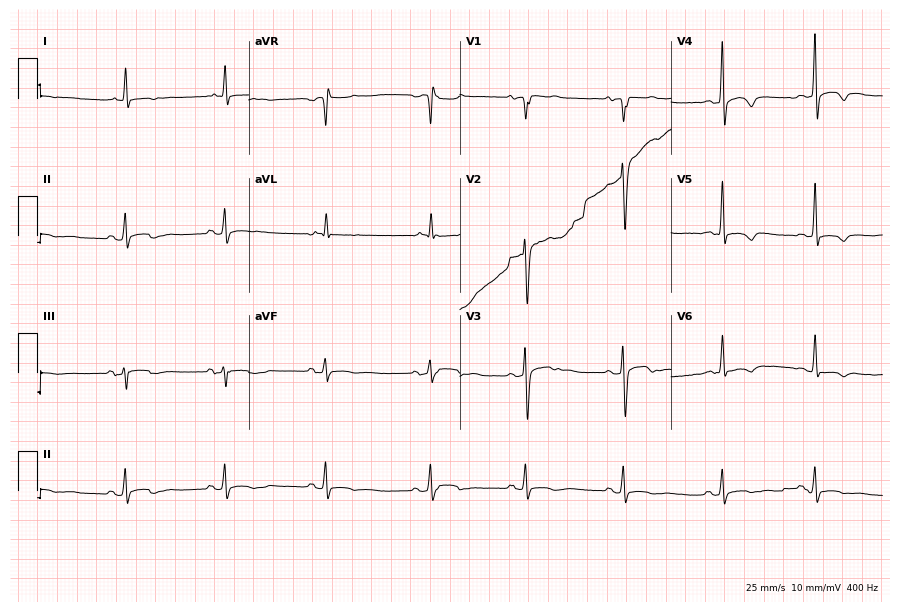
Resting 12-lead electrocardiogram. Patient: a male, 39 years old. None of these six findings is recorded: first-degree AV block, right bundle branch block, left bundle branch block, sinus bradycardia, atrial fibrillation, sinus tachycardia. Only these six findings were labelled.